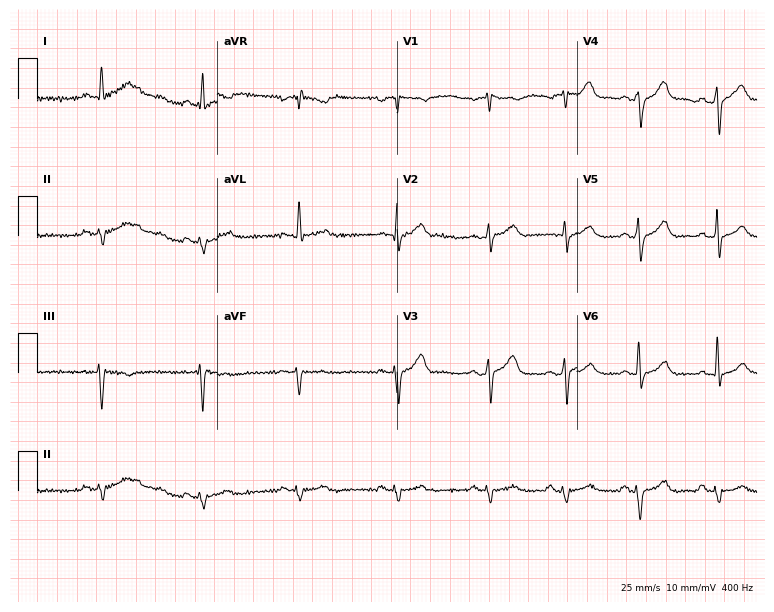
12-lead ECG from a 61-year-old male. Screened for six findings — first-degree AV block, right bundle branch block (RBBB), left bundle branch block (LBBB), sinus bradycardia, atrial fibrillation (AF), sinus tachycardia — none is recorded. Findings outside these six are not listed.